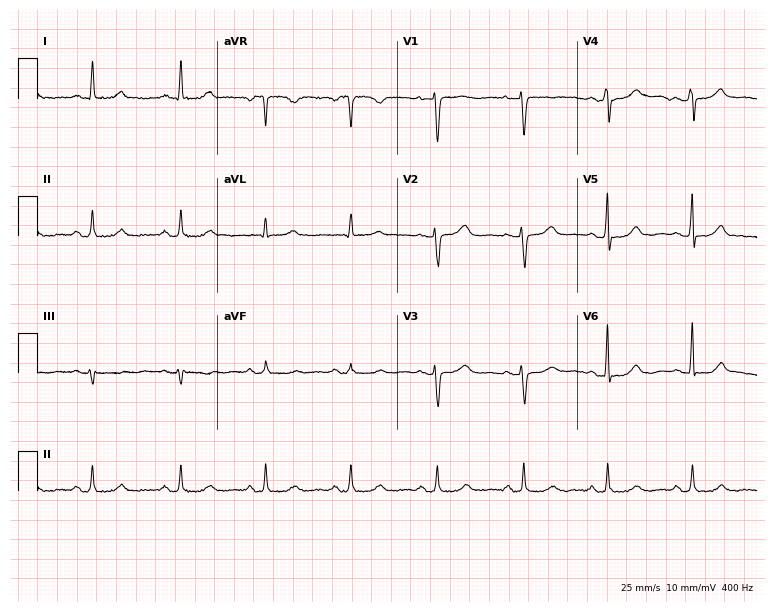
12-lead ECG from a 53-year-old female (7.3-second recording at 400 Hz). No first-degree AV block, right bundle branch block, left bundle branch block, sinus bradycardia, atrial fibrillation or sinus tachycardia recorded for this tracing.